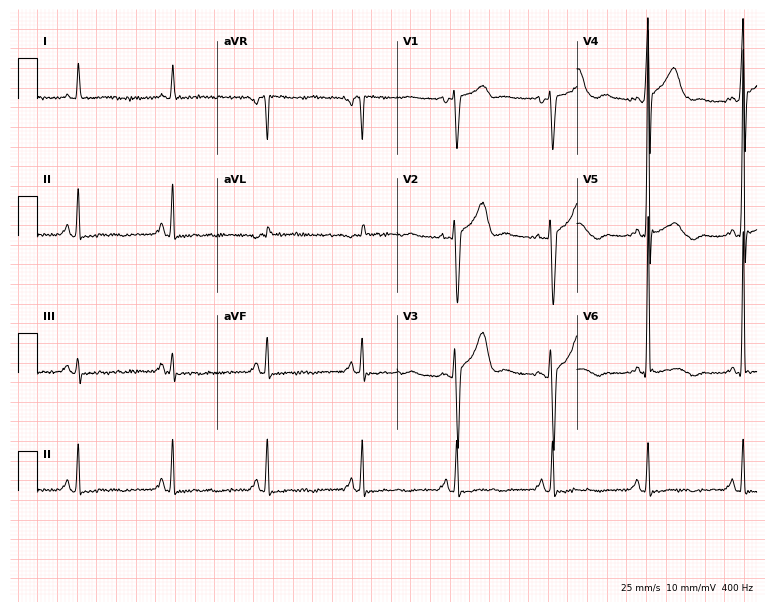
12-lead ECG (7.3-second recording at 400 Hz) from a 68-year-old man. Screened for six findings — first-degree AV block, right bundle branch block (RBBB), left bundle branch block (LBBB), sinus bradycardia, atrial fibrillation (AF), sinus tachycardia — none is recorded.